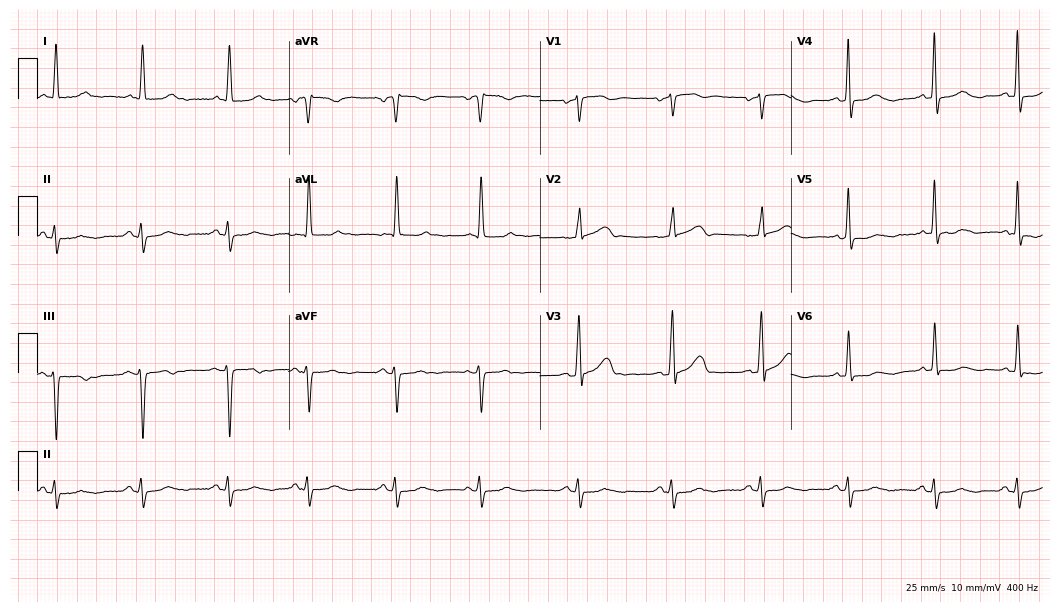
ECG (10.2-second recording at 400 Hz) — a female patient, 81 years old. Screened for six findings — first-degree AV block, right bundle branch block, left bundle branch block, sinus bradycardia, atrial fibrillation, sinus tachycardia — none is recorded.